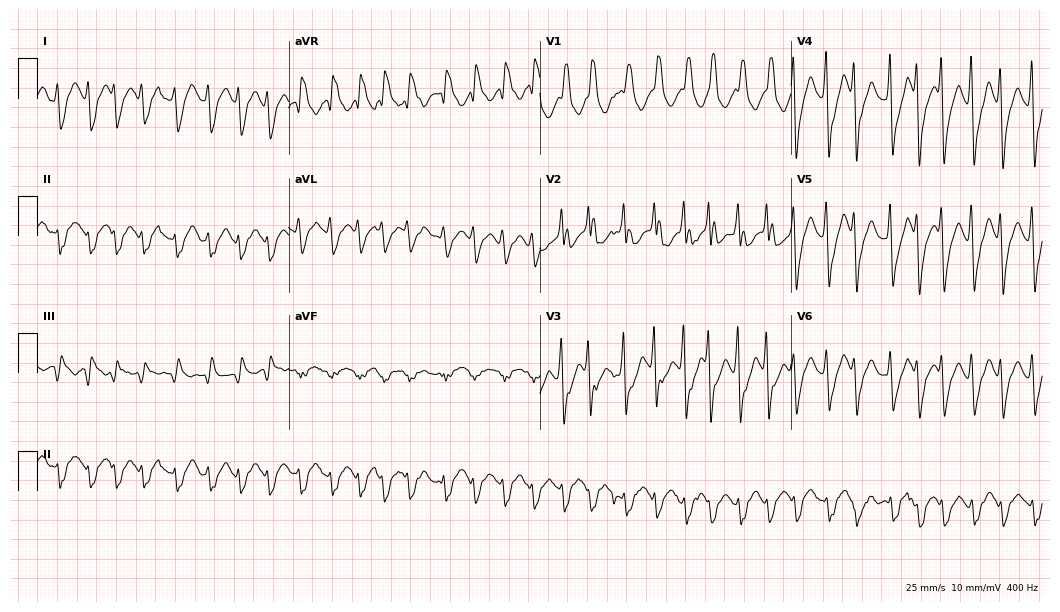
12-lead ECG (10.2-second recording at 400 Hz) from a 63-year-old male. Screened for six findings — first-degree AV block, right bundle branch block, left bundle branch block, sinus bradycardia, atrial fibrillation, sinus tachycardia — none is recorded. Other findings, if any, are not listed.